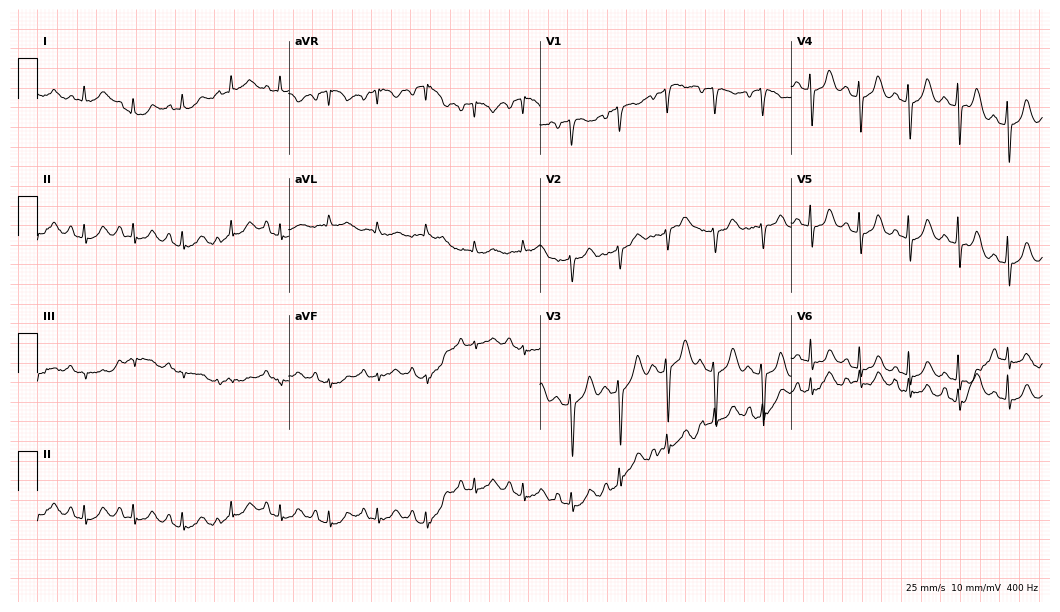
Resting 12-lead electrocardiogram. Patient: a 56-year-old female. The tracing shows sinus tachycardia (a sinus rate of 100 beats per minute or more).